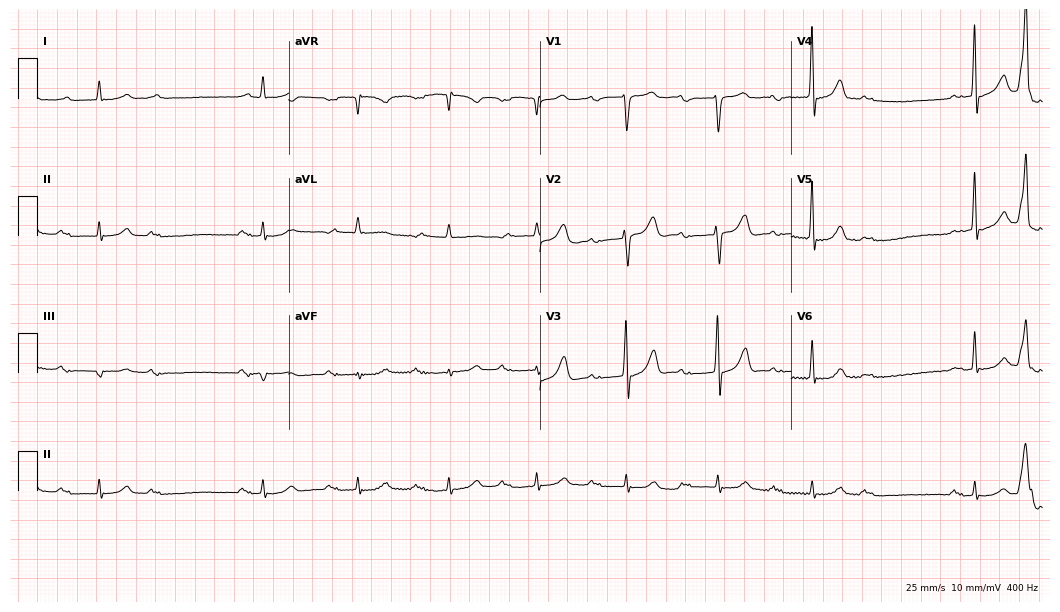
12-lead ECG (10.2-second recording at 400 Hz) from a male patient, 71 years old. Screened for six findings — first-degree AV block, right bundle branch block, left bundle branch block, sinus bradycardia, atrial fibrillation, sinus tachycardia — none is recorded.